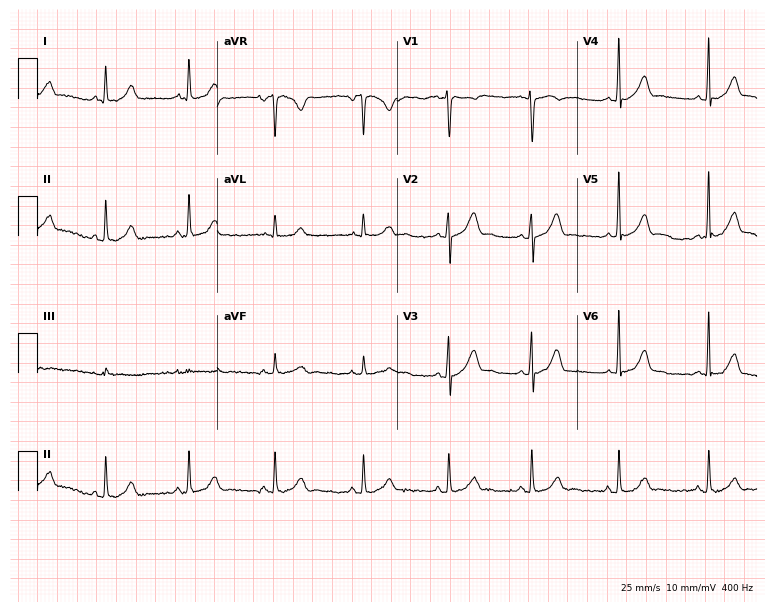
Resting 12-lead electrocardiogram. Patient: a woman, 34 years old. Read as a normal ECG.